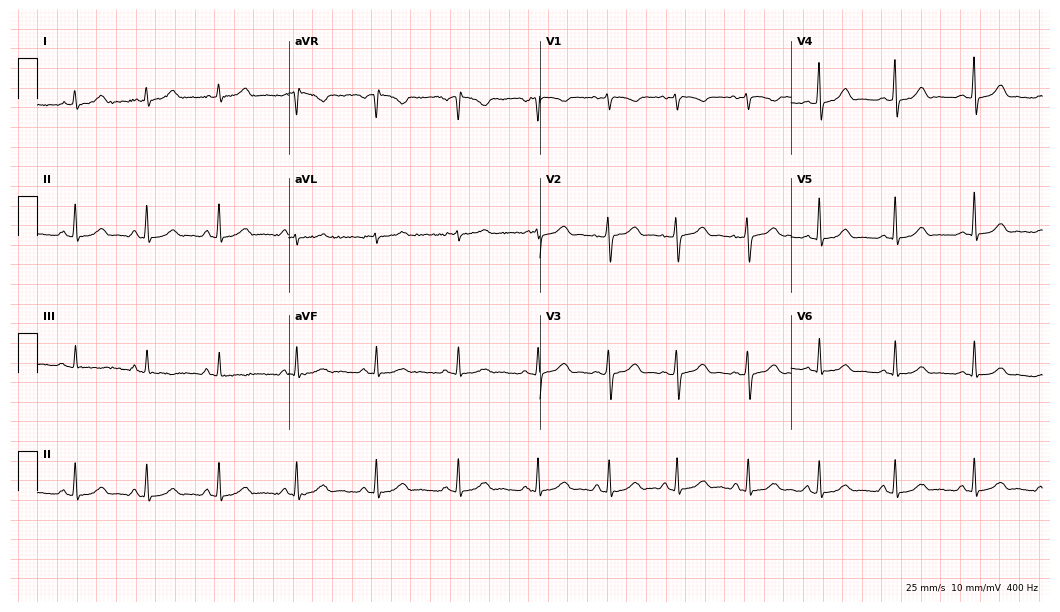
12-lead ECG from a 33-year-old female patient. Labelled as a normal ECG.